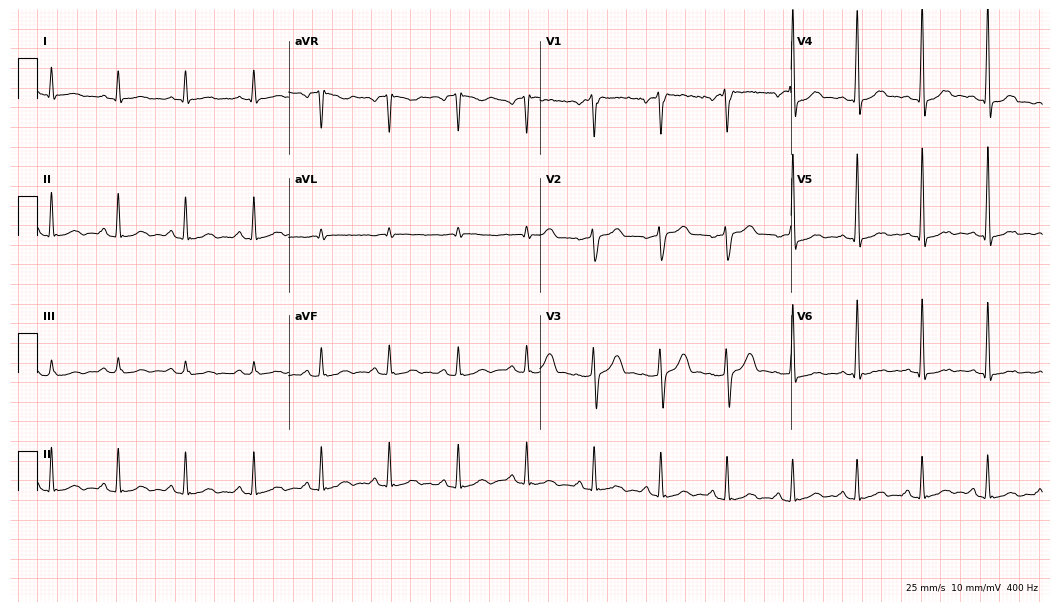
Standard 12-lead ECG recorded from a 58-year-old male (10.2-second recording at 400 Hz). Read as a normal ECG.